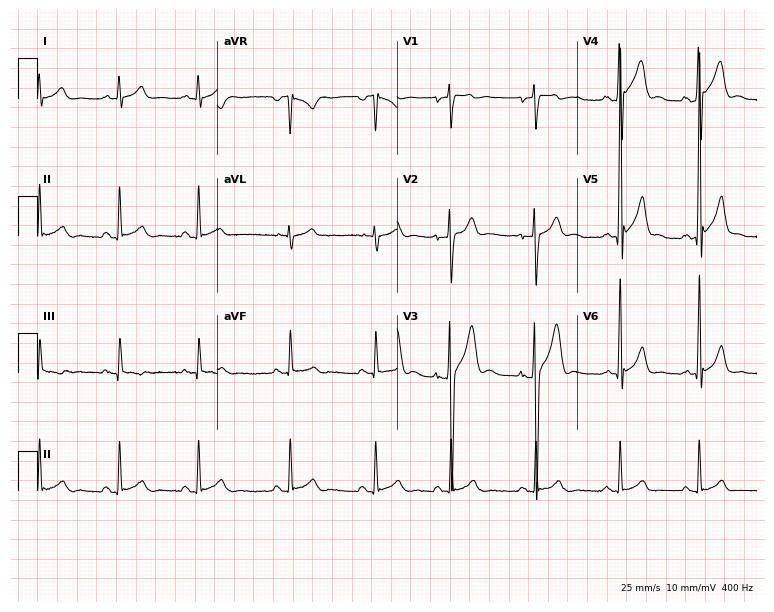
12-lead ECG from a male patient, 19 years old. No first-degree AV block, right bundle branch block (RBBB), left bundle branch block (LBBB), sinus bradycardia, atrial fibrillation (AF) or sinus tachycardia recorded for this tracing. Only these six findings were labelled.